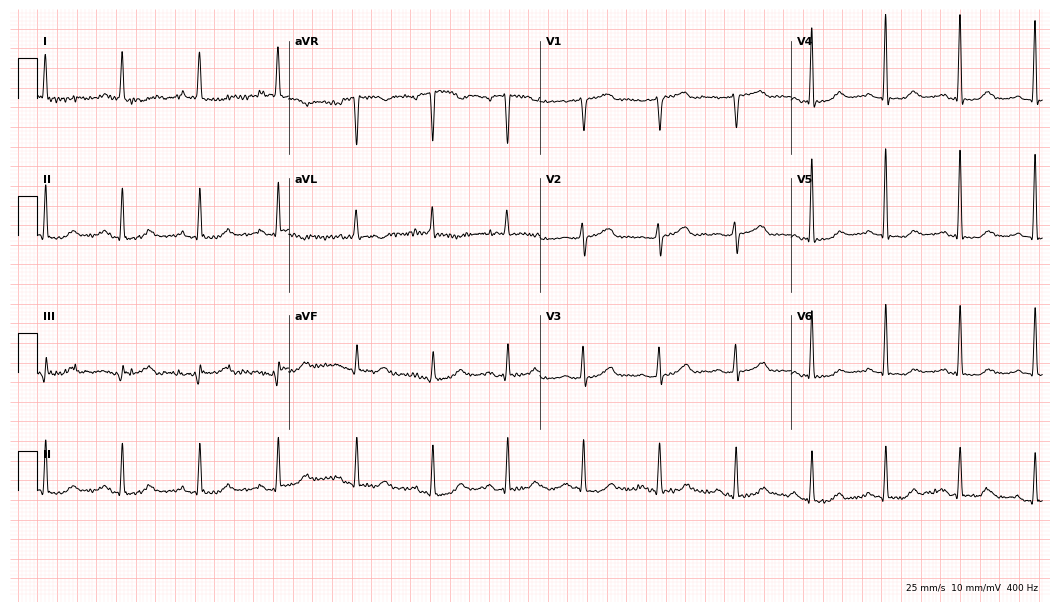
Resting 12-lead electrocardiogram. Patient: a 77-year-old female. Read as a normal ECG.